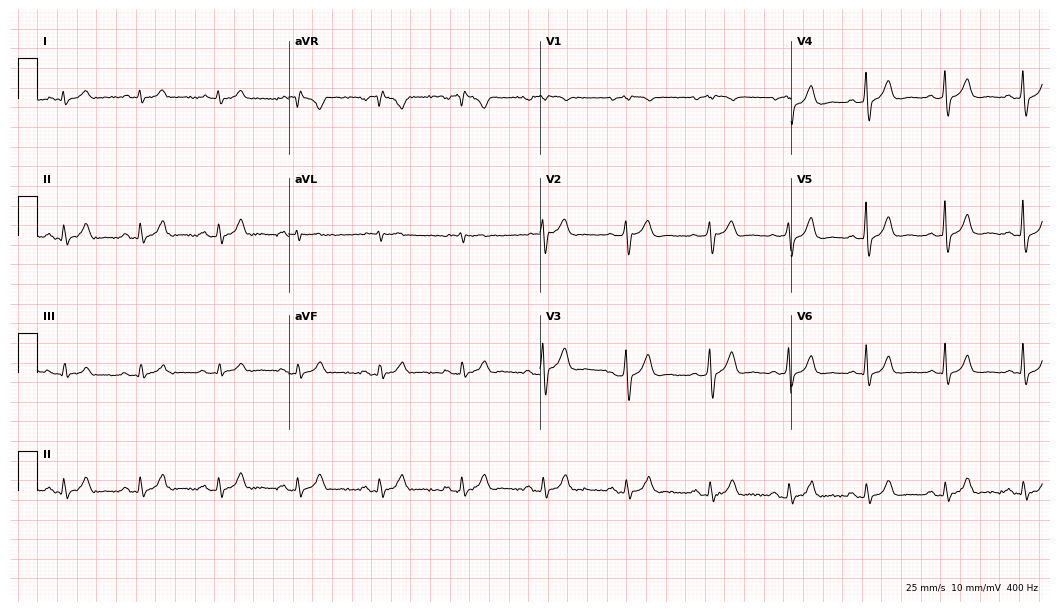
Electrocardiogram (10.2-second recording at 400 Hz), a male patient, 60 years old. Overall reading on record: normal ECG.